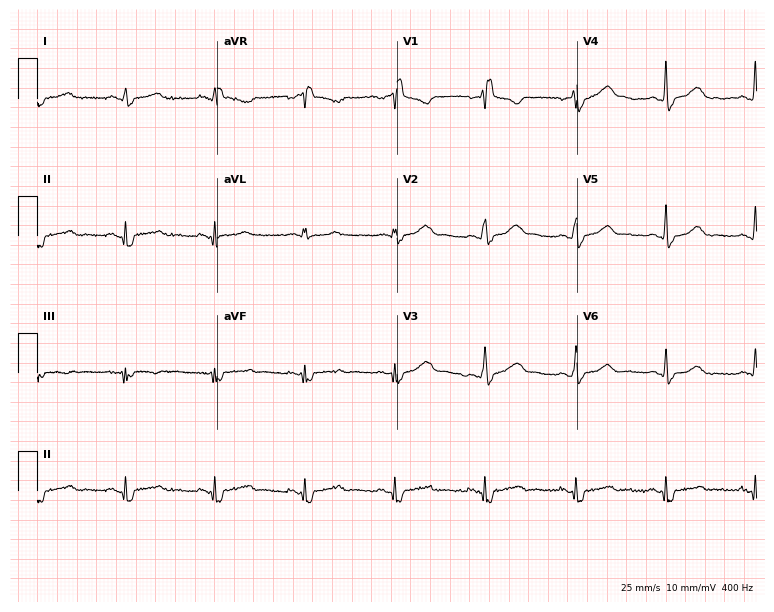
12-lead ECG from a 50-year-old female. Shows right bundle branch block.